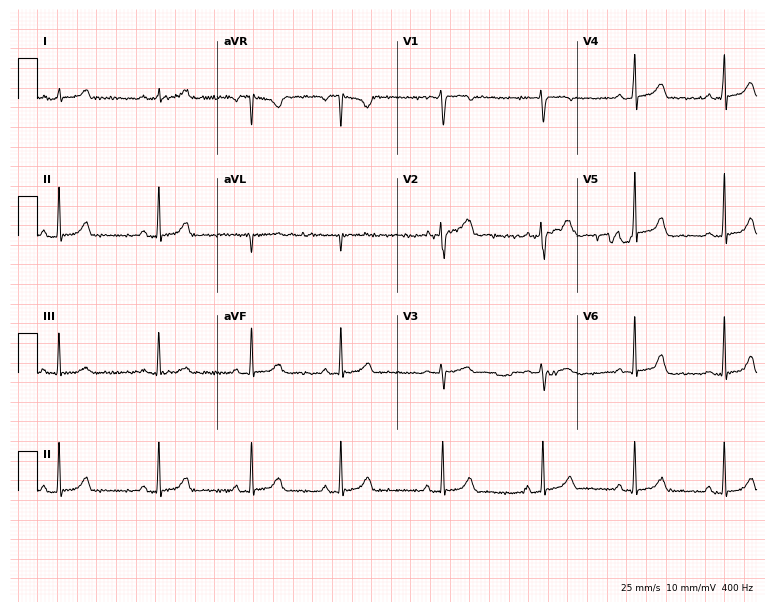
12-lead ECG from a female patient, 20 years old. Recorded interpretation: within normal limits.